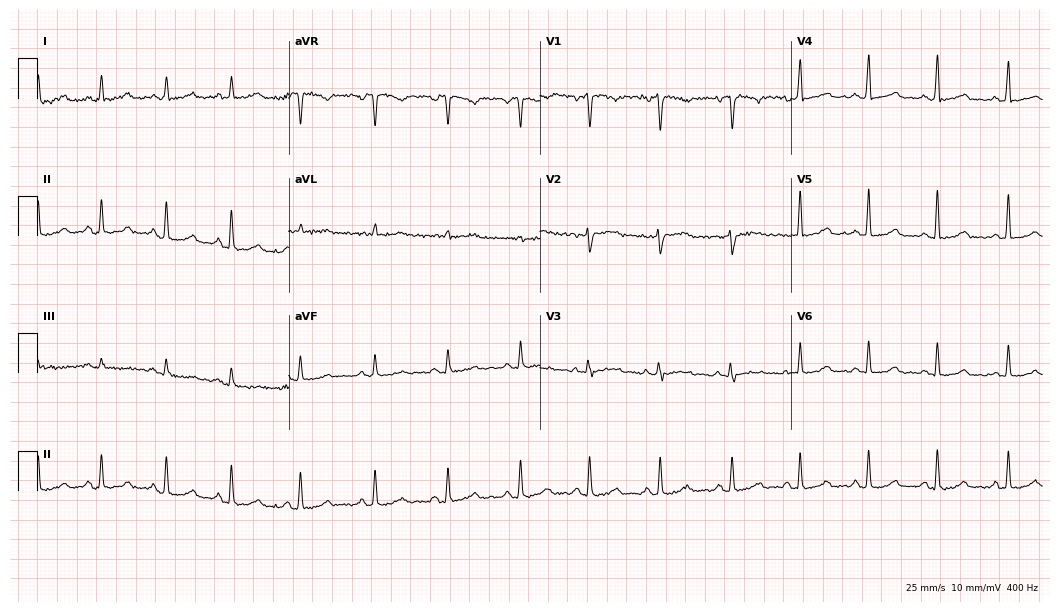
12-lead ECG from a 33-year-old woman. Recorded interpretation: within normal limits.